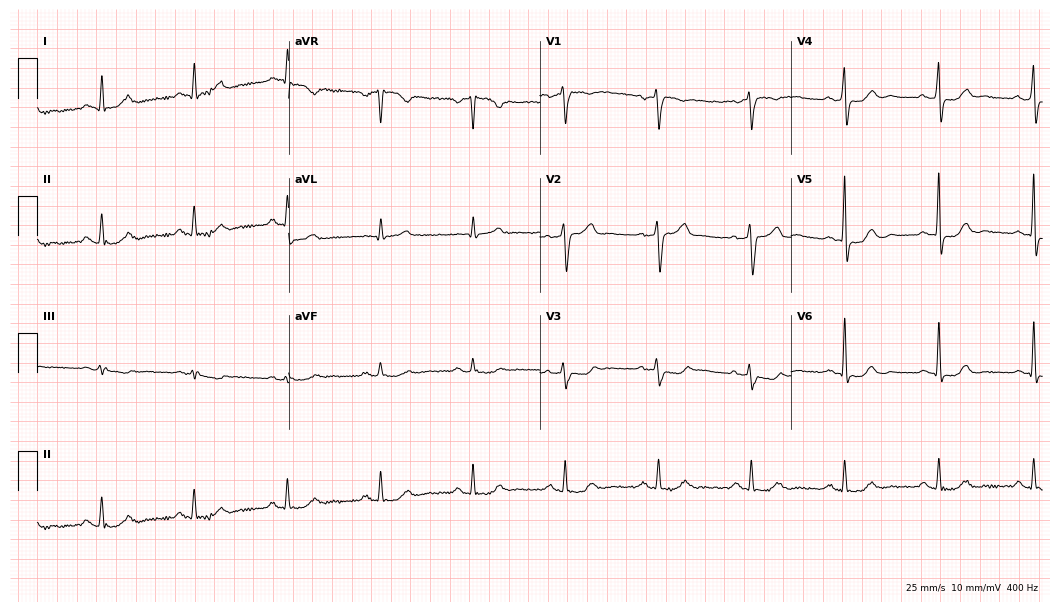
Resting 12-lead electrocardiogram (10.2-second recording at 400 Hz). Patient: a 69-year-old man. None of these six findings is recorded: first-degree AV block, right bundle branch block, left bundle branch block, sinus bradycardia, atrial fibrillation, sinus tachycardia.